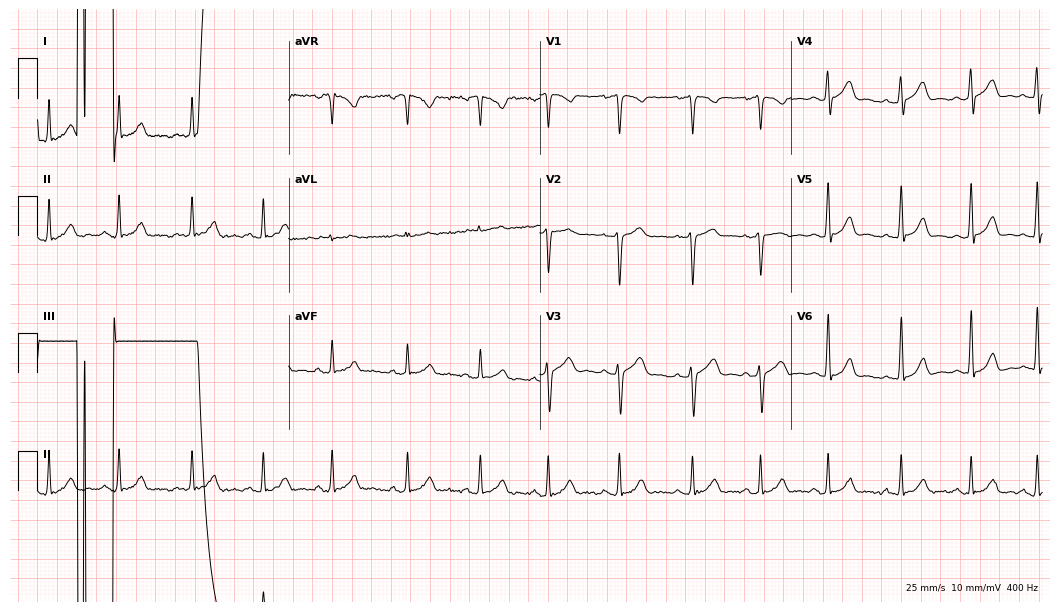
12-lead ECG from a 27-year-old man. Screened for six findings — first-degree AV block, right bundle branch block, left bundle branch block, sinus bradycardia, atrial fibrillation, sinus tachycardia — none is recorded. Findings outside these six are not listed.